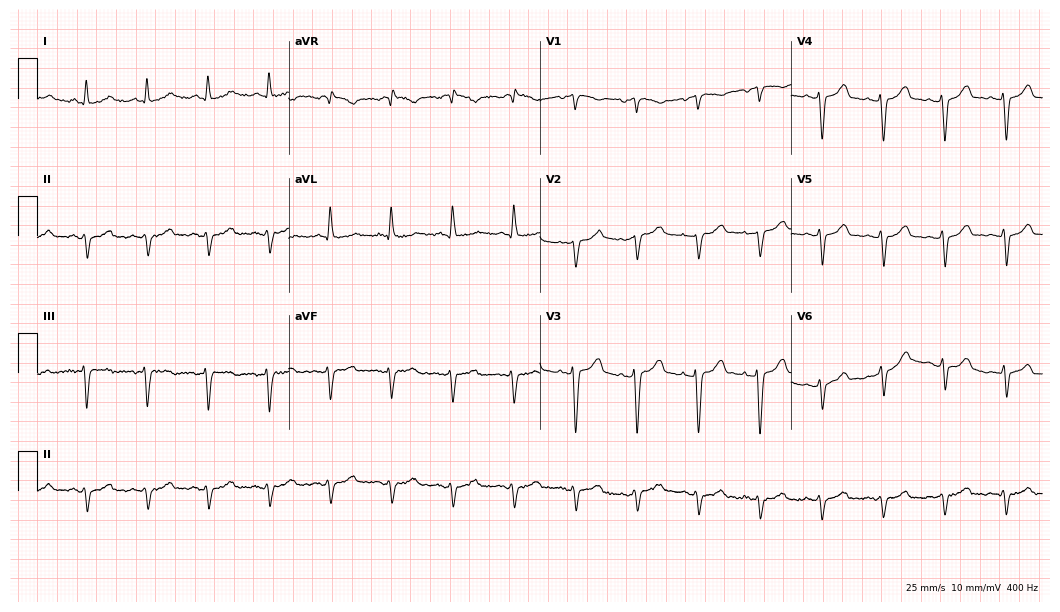
12-lead ECG from a male, 79 years old (10.2-second recording at 400 Hz). No first-degree AV block, right bundle branch block, left bundle branch block, sinus bradycardia, atrial fibrillation or sinus tachycardia recorded for this tracing. Other findings, if any, are not listed.